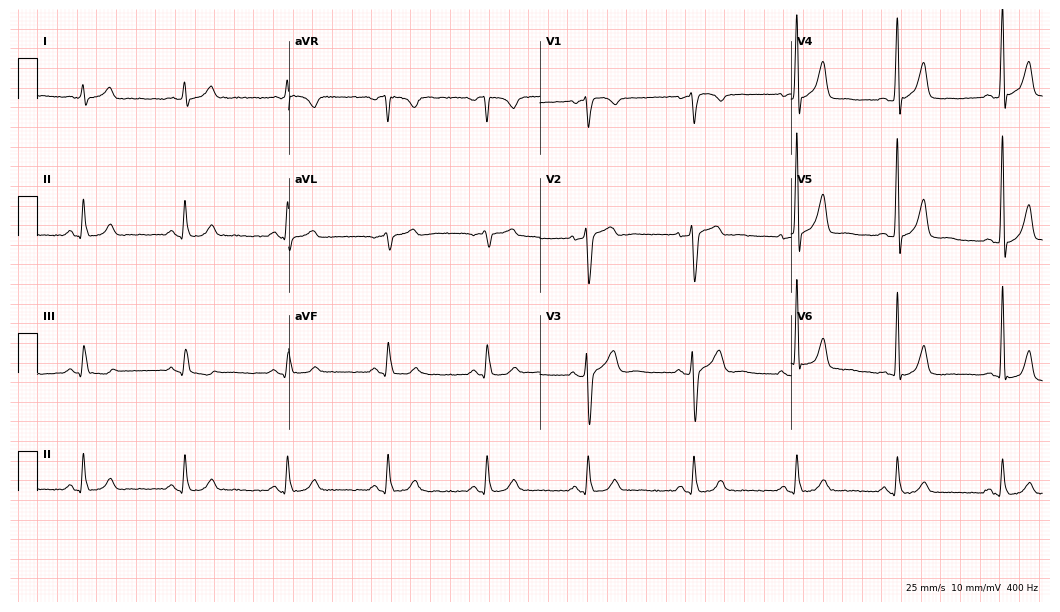
ECG — a man, 68 years old. Labelled as a normal ECG.